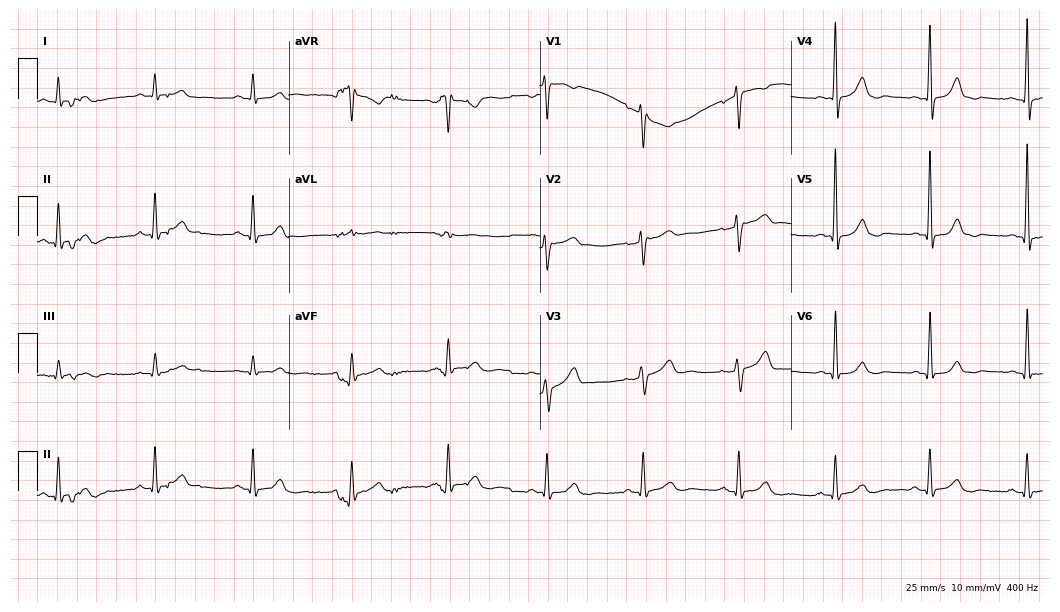
12-lead ECG from a 61-year-old male patient (10.2-second recording at 400 Hz). Recorded interpretation: within normal limits.